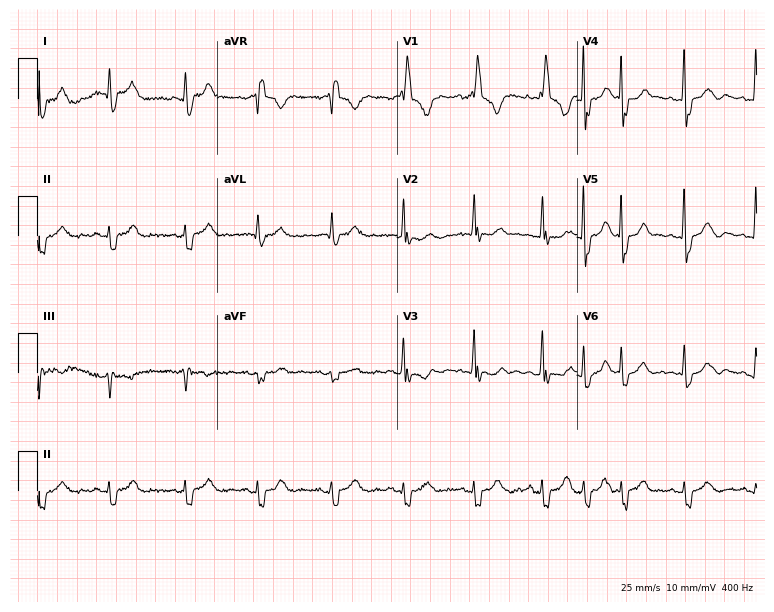
12-lead ECG from an 84-year-old female. Findings include right bundle branch block.